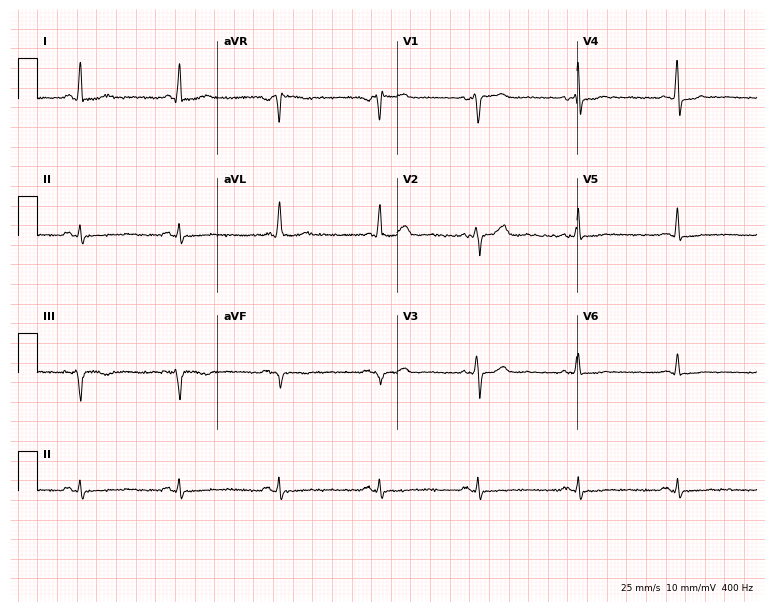
ECG — a female patient, 47 years old. Screened for six findings — first-degree AV block, right bundle branch block, left bundle branch block, sinus bradycardia, atrial fibrillation, sinus tachycardia — none is recorded. Only these six findings were labelled.